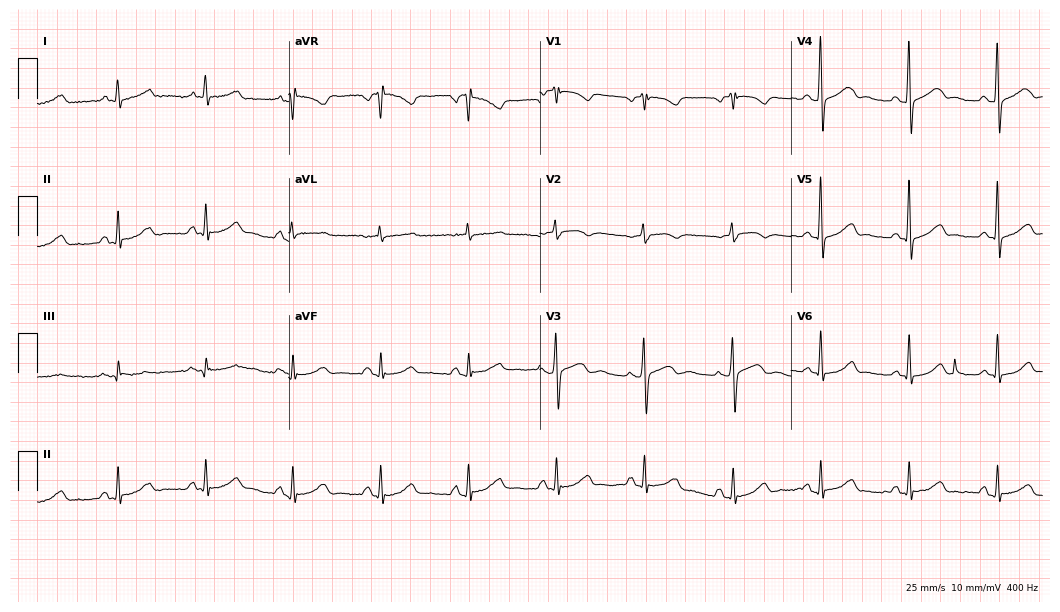
ECG — a 74-year-old female patient. Labelled as a normal ECG.